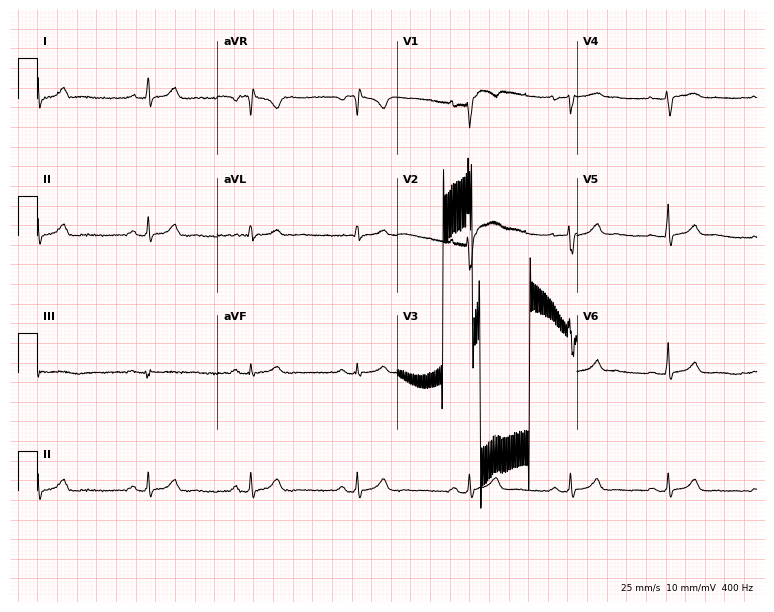
Electrocardiogram (7.3-second recording at 400 Hz), a female, 27 years old. Overall reading on record: normal ECG.